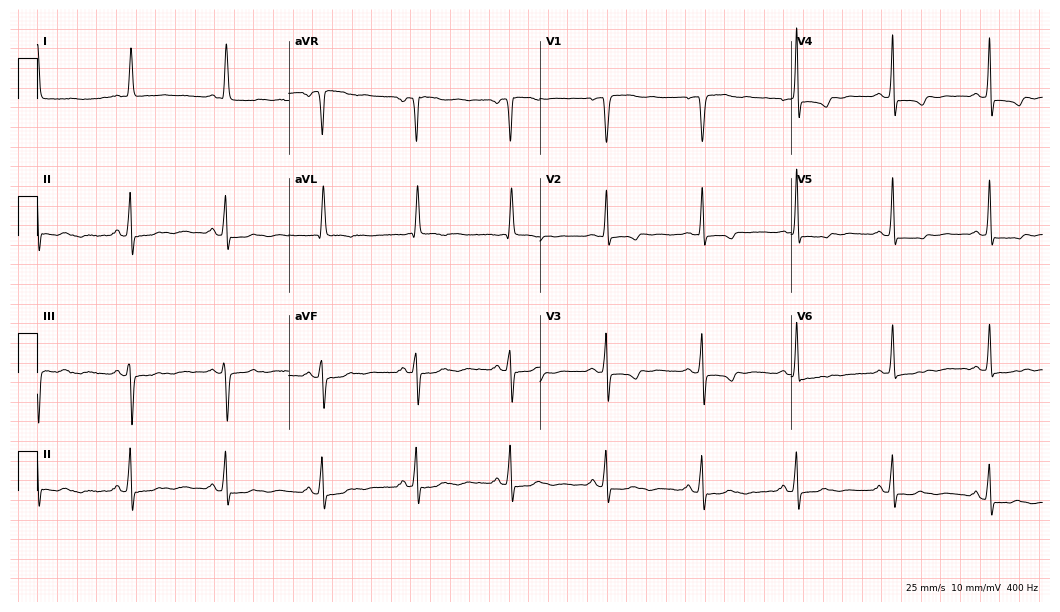
Standard 12-lead ECG recorded from a woman, 71 years old (10.2-second recording at 400 Hz). None of these six findings is recorded: first-degree AV block, right bundle branch block, left bundle branch block, sinus bradycardia, atrial fibrillation, sinus tachycardia.